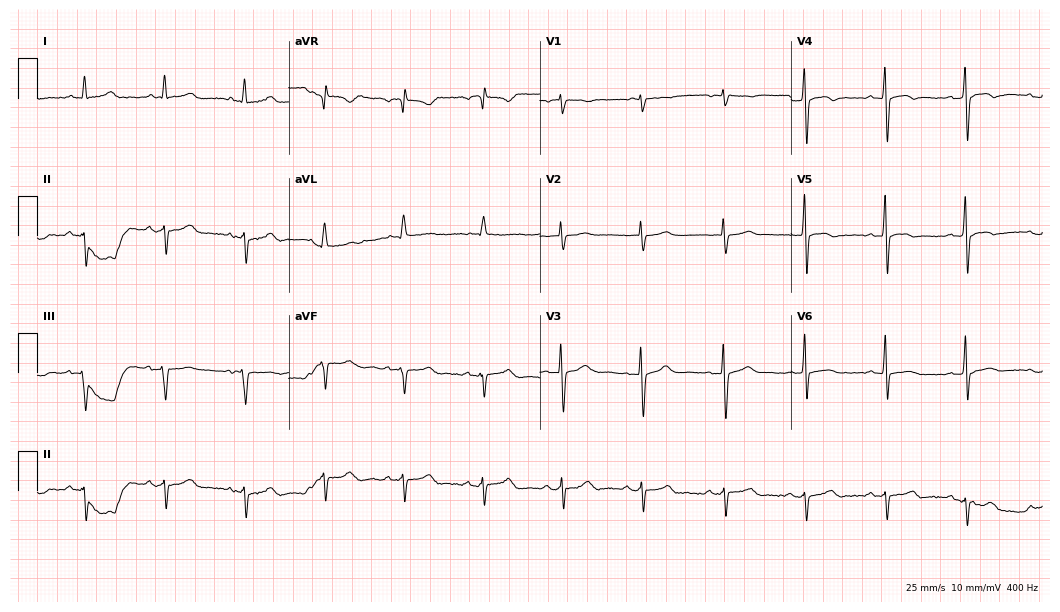
Resting 12-lead electrocardiogram (10.2-second recording at 400 Hz). Patient: a woman, 73 years old. None of these six findings is recorded: first-degree AV block, right bundle branch block (RBBB), left bundle branch block (LBBB), sinus bradycardia, atrial fibrillation (AF), sinus tachycardia. Only these six findings were labelled.